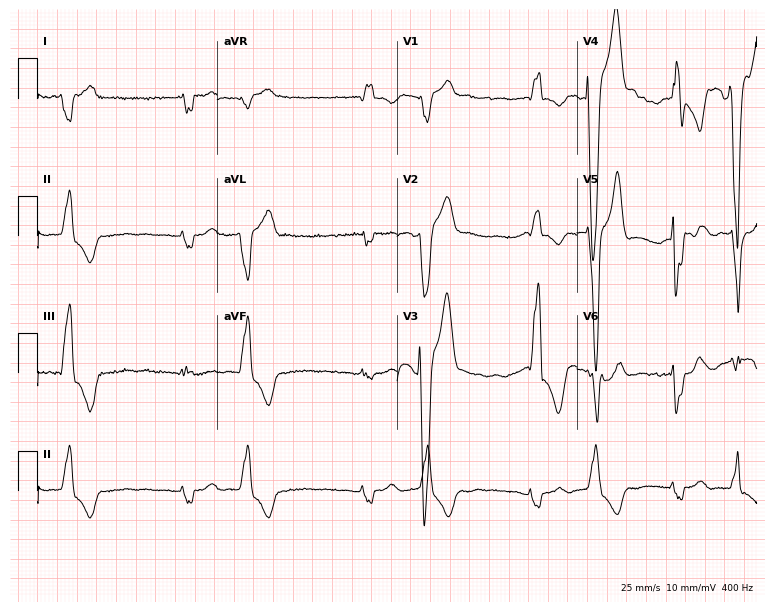
Standard 12-lead ECG recorded from a 70-year-old man. None of these six findings is recorded: first-degree AV block, right bundle branch block, left bundle branch block, sinus bradycardia, atrial fibrillation, sinus tachycardia. Other findings, if any, are not listed.